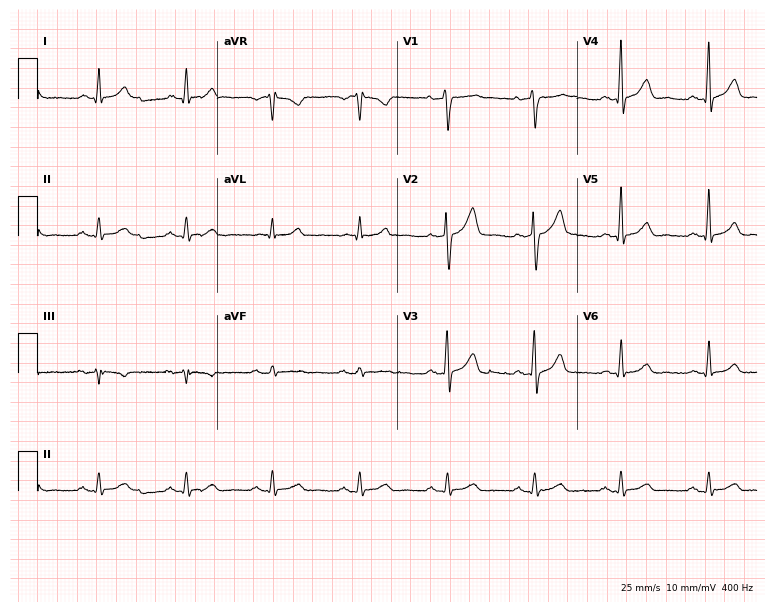
ECG — a 55-year-old male. Screened for six findings — first-degree AV block, right bundle branch block (RBBB), left bundle branch block (LBBB), sinus bradycardia, atrial fibrillation (AF), sinus tachycardia — none is recorded.